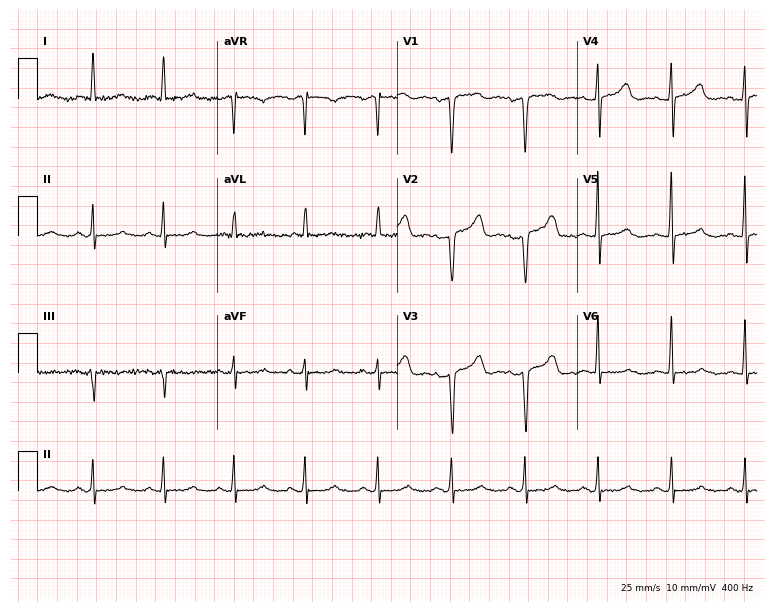
ECG (7.3-second recording at 400 Hz) — a female patient, 52 years old. Screened for six findings — first-degree AV block, right bundle branch block, left bundle branch block, sinus bradycardia, atrial fibrillation, sinus tachycardia — none is recorded.